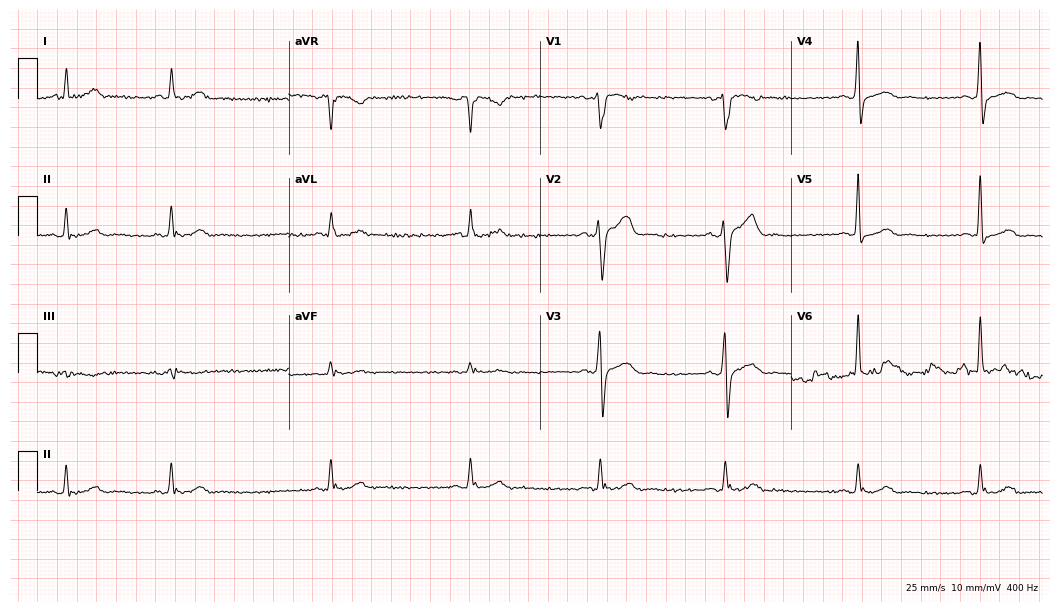
Electrocardiogram (10.2-second recording at 400 Hz), a 46-year-old male patient. Interpretation includes sinus bradycardia (a sinus rate of 50 beats per minute or less).